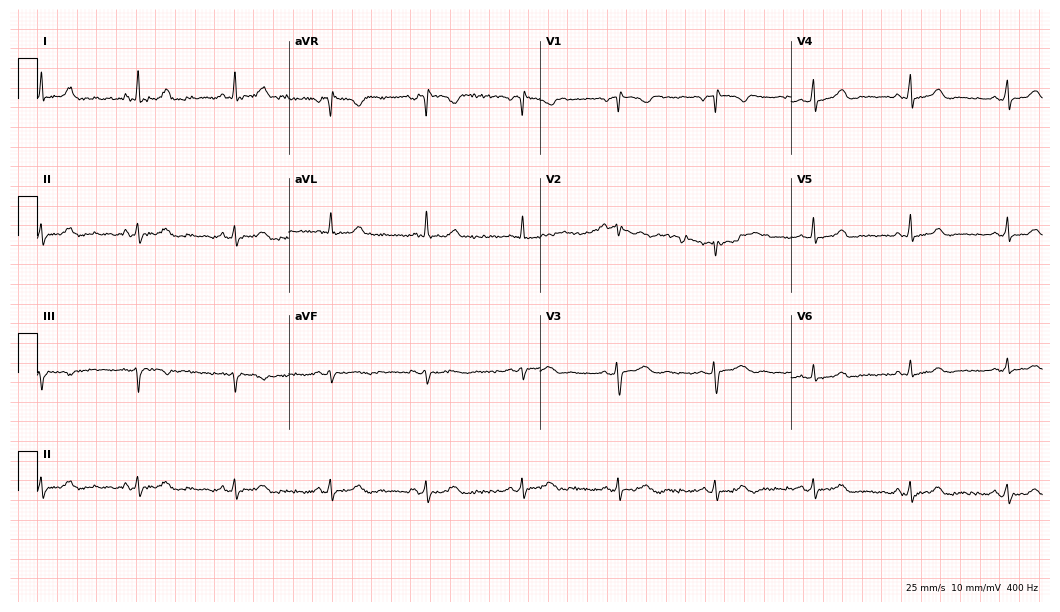
Electrocardiogram (10.2-second recording at 400 Hz), a 36-year-old female. Overall reading on record: normal ECG.